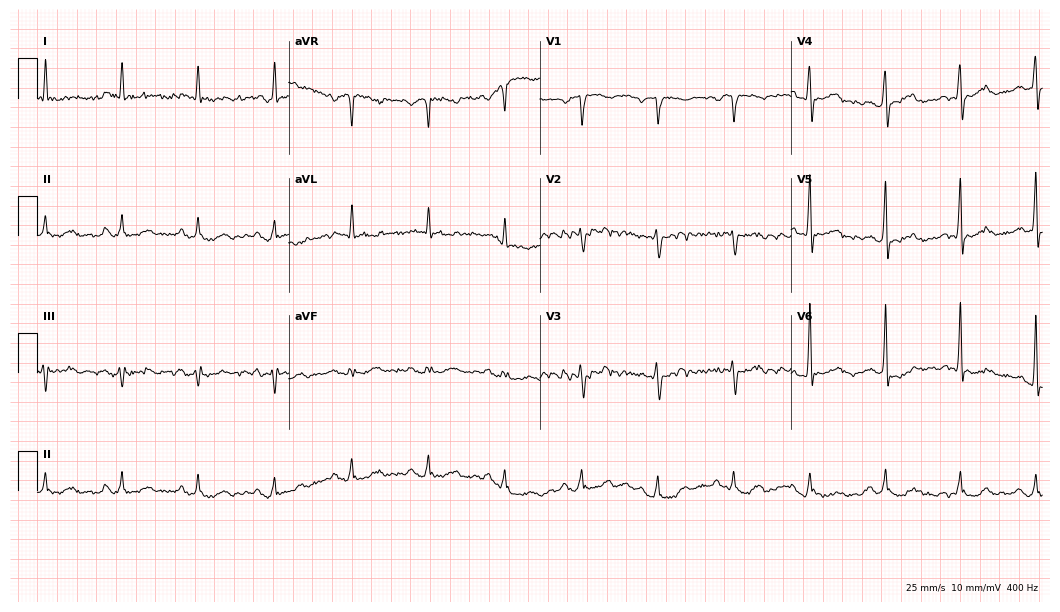
12-lead ECG from a 74-year-old man (10.2-second recording at 400 Hz). No first-degree AV block, right bundle branch block, left bundle branch block, sinus bradycardia, atrial fibrillation or sinus tachycardia recorded for this tracing.